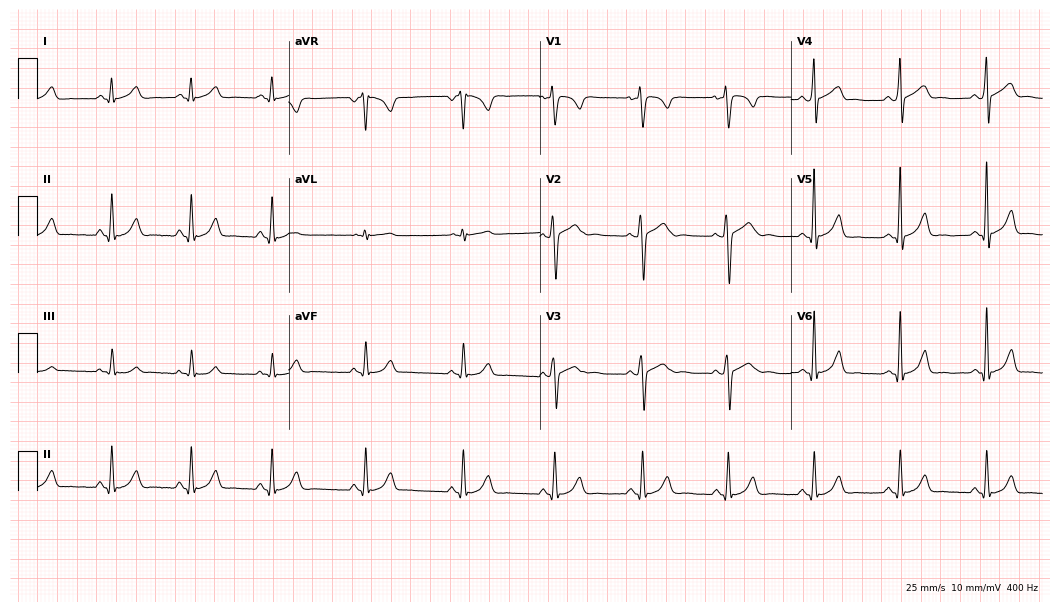
12-lead ECG from a male, 25 years old (10.2-second recording at 400 Hz). Recorded interpretation: within normal limits.